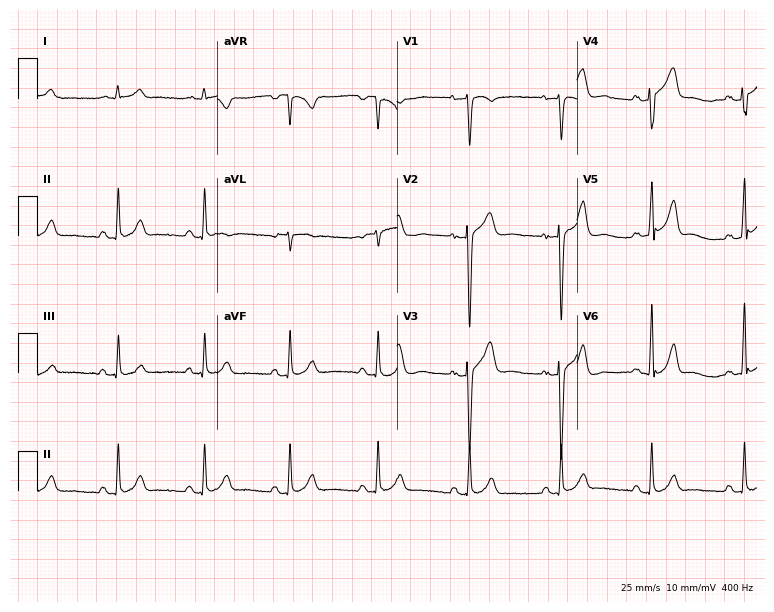
Resting 12-lead electrocardiogram. Patient: a male, 38 years old. Read as a normal ECG.